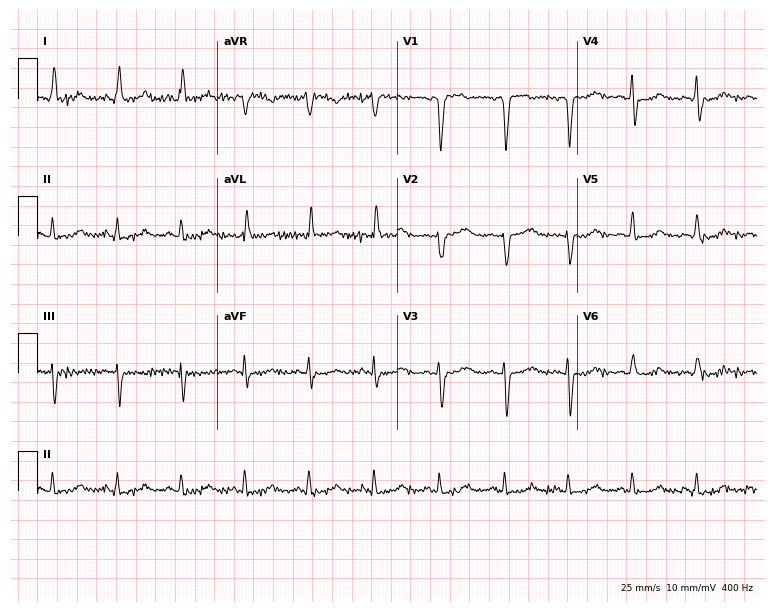
Resting 12-lead electrocardiogram (7.3-second recording at 400 Hz). Patient: a 60-year-old female. Read as a normal ECG.